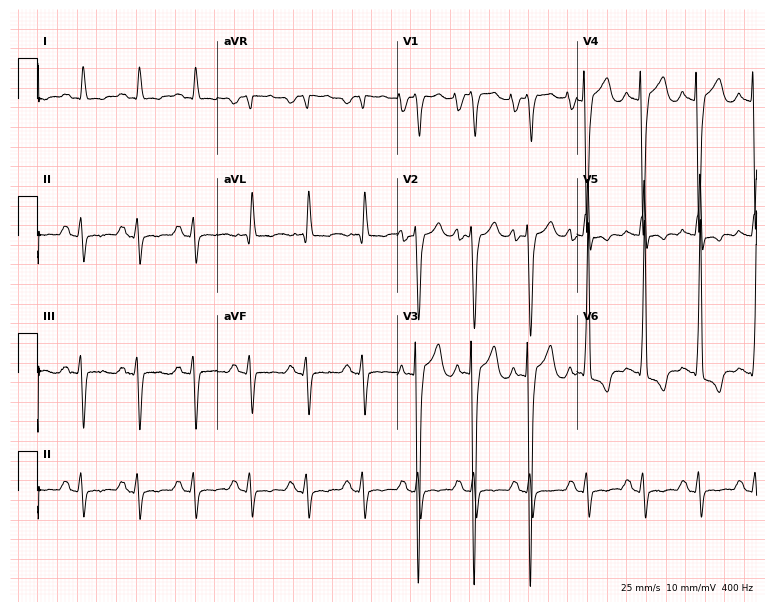
12-lead ECG from a male, 25 years old. Shows sinus tachycardia (a sinus rate of 100 beats per minute or more).